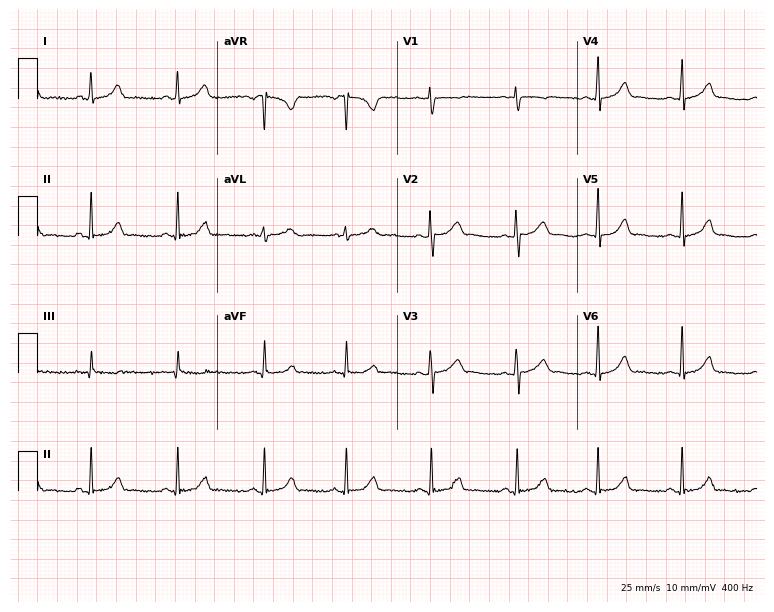
12-lead ECG from a woman, 25 years old. No first-degree AV block, right bundle branch block (RBBB), left bundle branch block (LBBB), sinus bradycardia, atrial fibrillation (AF) or sinus tachycardia recorded for this tracing.